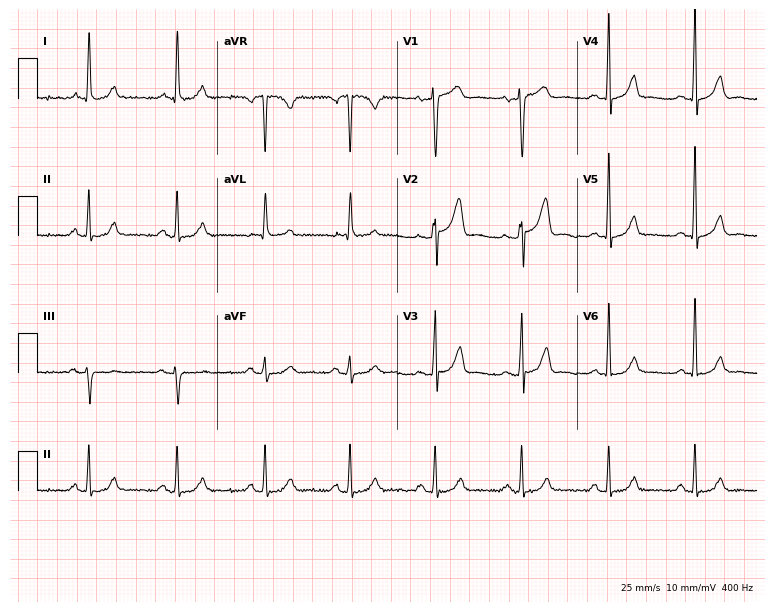
12-lead ECG from a female patient, 55 years old. No first-degree AV block, right bundle branch block (RBBB), left bundle branch block (LBBB), sinus bradycardia, atrial fibrillation (AF) or sinus tachycardia recorded for this tracing. Only these six findings were labelled.